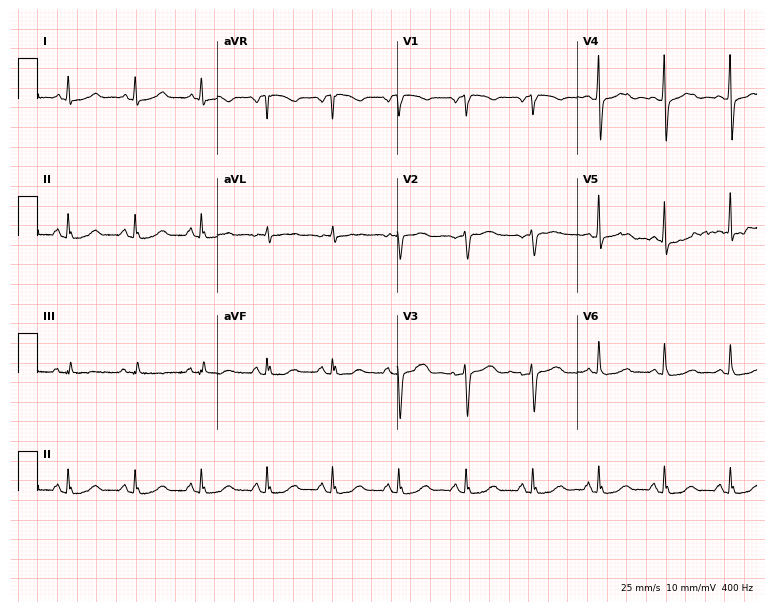
ECG — a female, 64 years old. Screened for six findings — first-degree AV block, right bundle branch block (RBBB), left bundle branch block (LBBB), sinus bradycardia, atrial fibrillation (AF), sinus tachycardia — none is recorded.